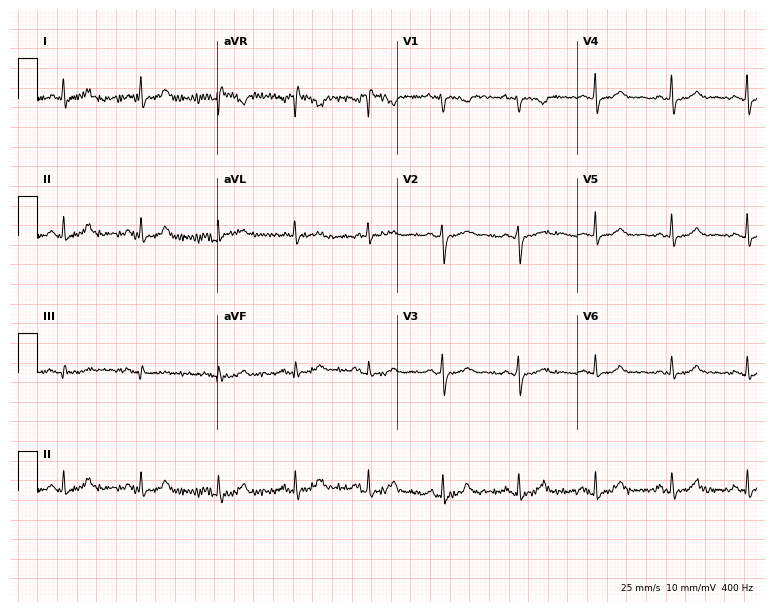
12-lead ECG (7.3-second recording at 400 Hz) from a 52-year-old female. Screened for six findings — first-degree AV block, right bundle branch block, left bundle branch block, sinus bradycardia, atrial fibrillation, sinus tachycardia — none is recorded. Only these six findings were labelled.